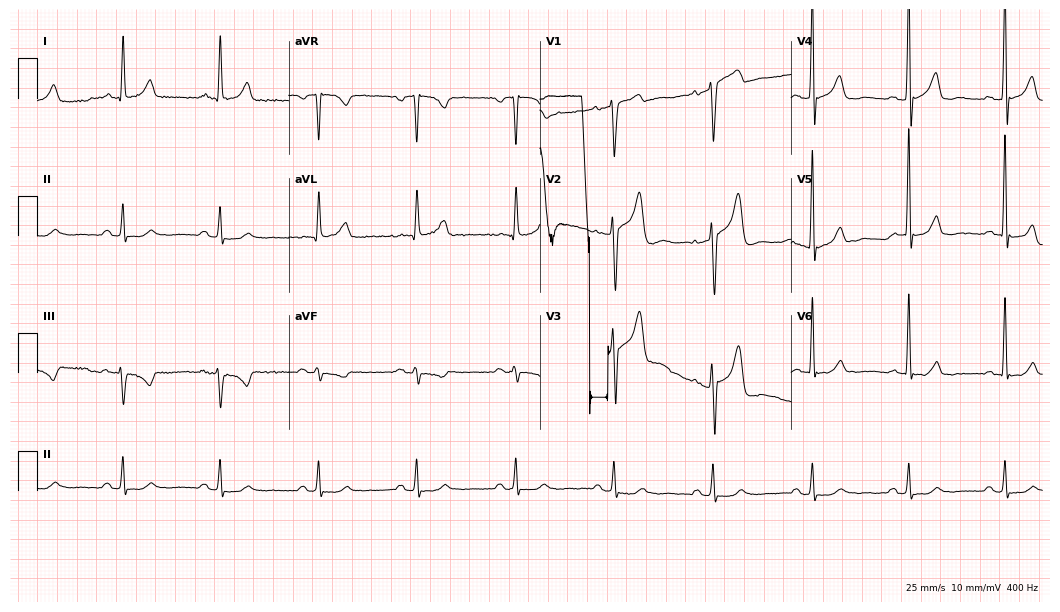
12-lead ECG from a male patient, 67 years old. No first-degree AV block, right bundle branch block, left bundle branch block, sinus bradycardia, atrial fibrillation or sinus tachycardia recorded for this tracing. Other findings, if any, are not listed.